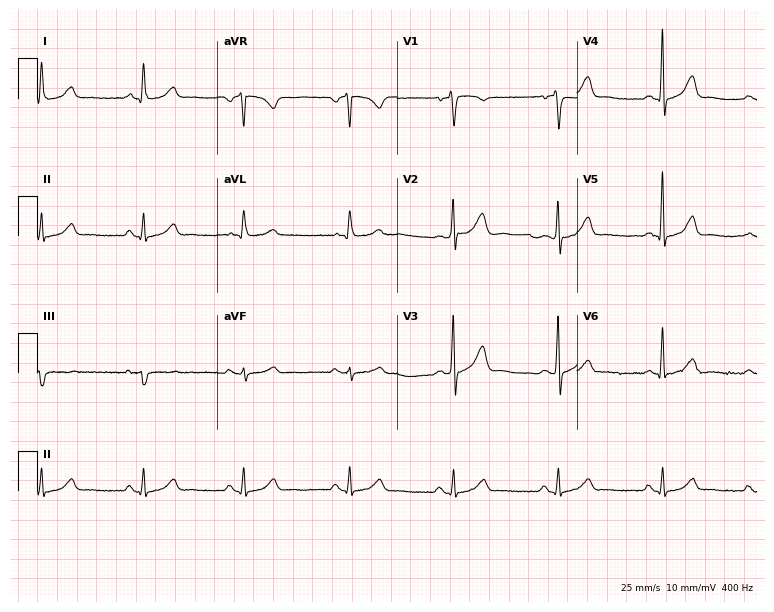
12-lead ECG from a female, 58 years old (7.3-second recording at 400 Hz). Recorded interpretation: within normal limits.